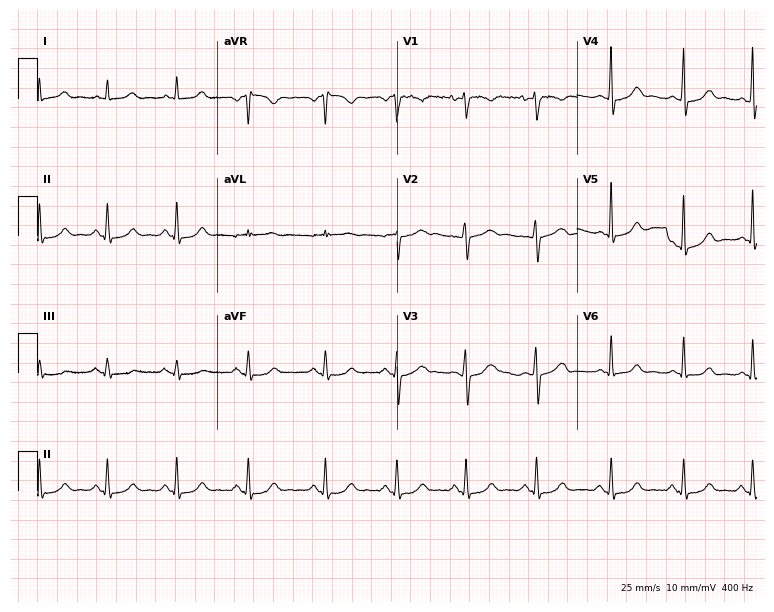
12-lead ECG from a female, 29 years old. Screened for six findings — first-degree AV block, right bundle branch block, left bundle branch block, sinus bradycardia, atrial fibrillation, sinus tachycardia — none is recorded.